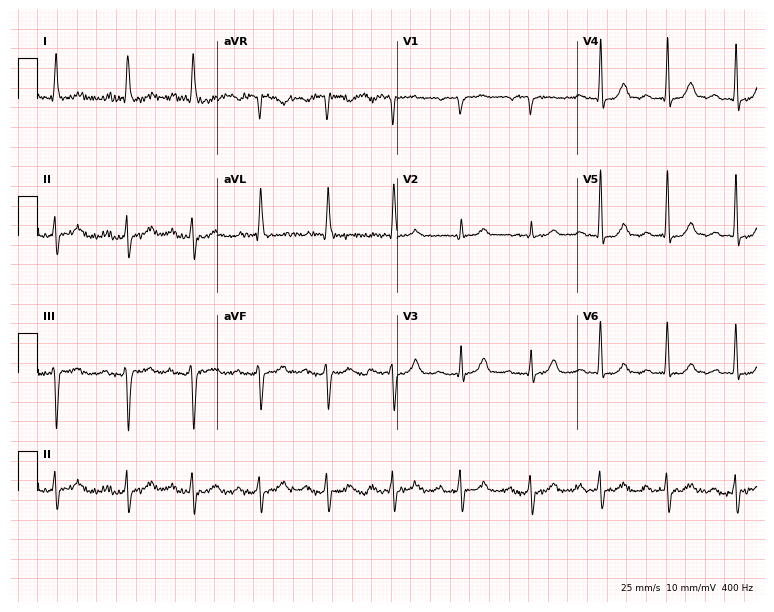
12-lead ECG from a female, 87 years old. No first-degree AV block, right bundle branch block, left bundle branch block, sinus bradycardia, atrial fibrillation or sinus tachycardia recorded for this tracing. Other findings, if any, are not listed.